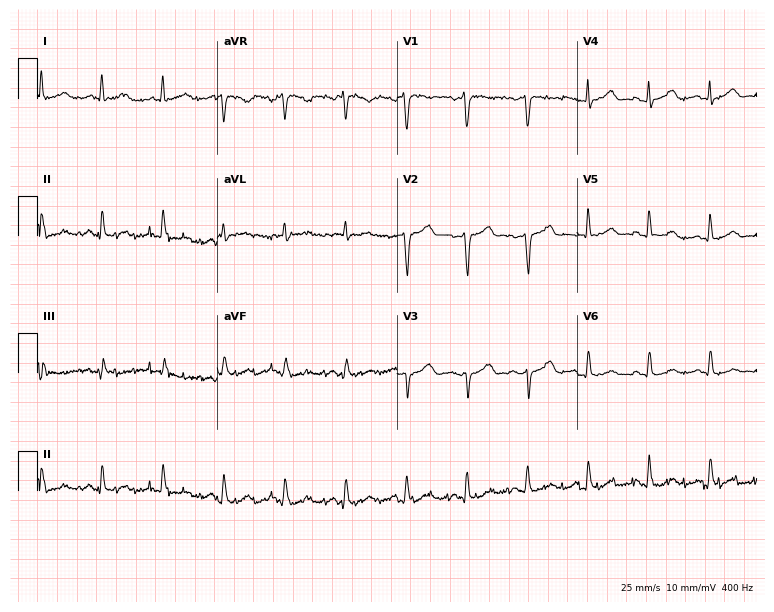
12-lead ECG from a 54-year-old woman. No first-degree AV block, right bundle branch block, left bundle branch block, sinus bradycardia, atrial fibrillation or sinus tachycardia recorded for this tracing. Findings outside these six are not listed.